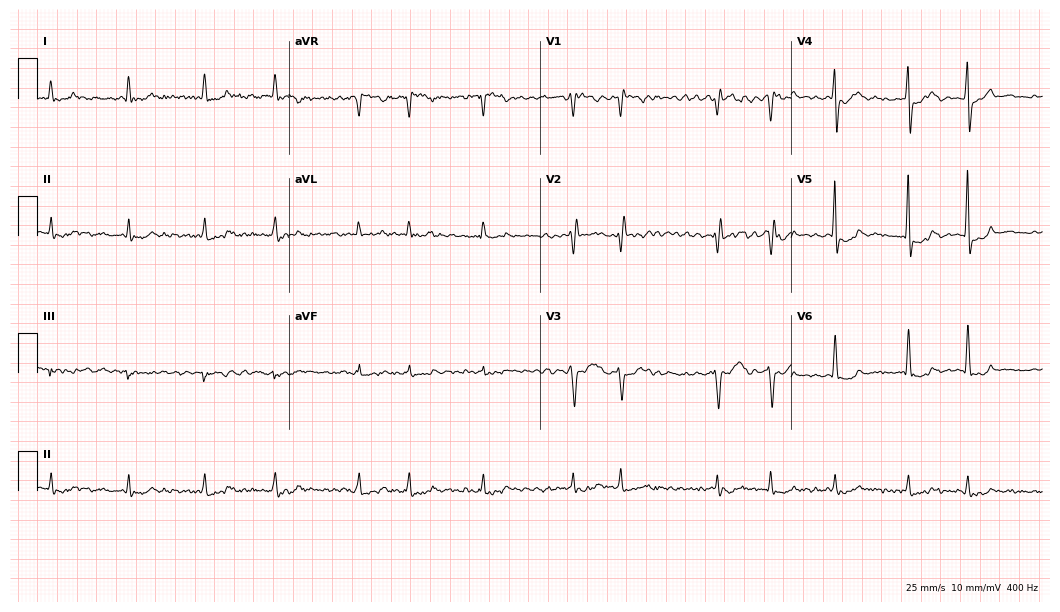
12-lead ECG from a 60-year-old female patient (10.2-second recording at 400 Hz). Shows atrial fibrillation (AF).